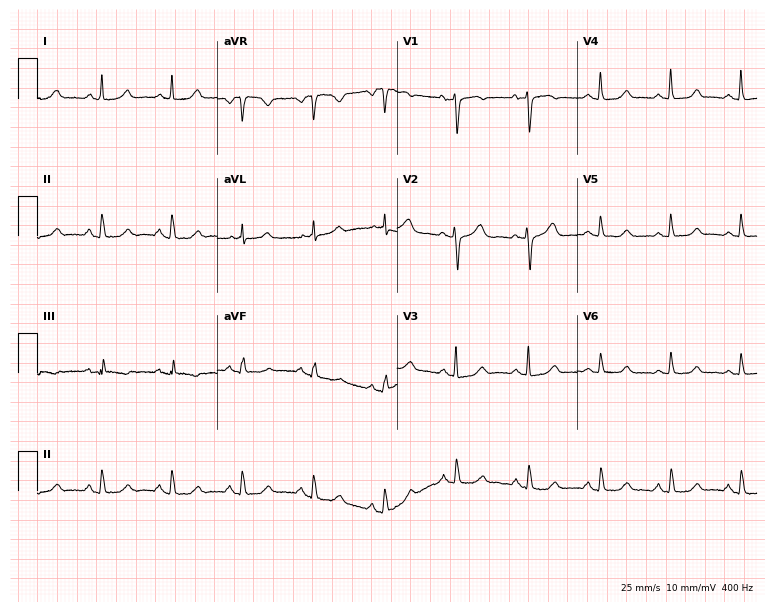
Standard 12-lead ECG recorded from a 63-year-old woman. Read as a normal ECG.